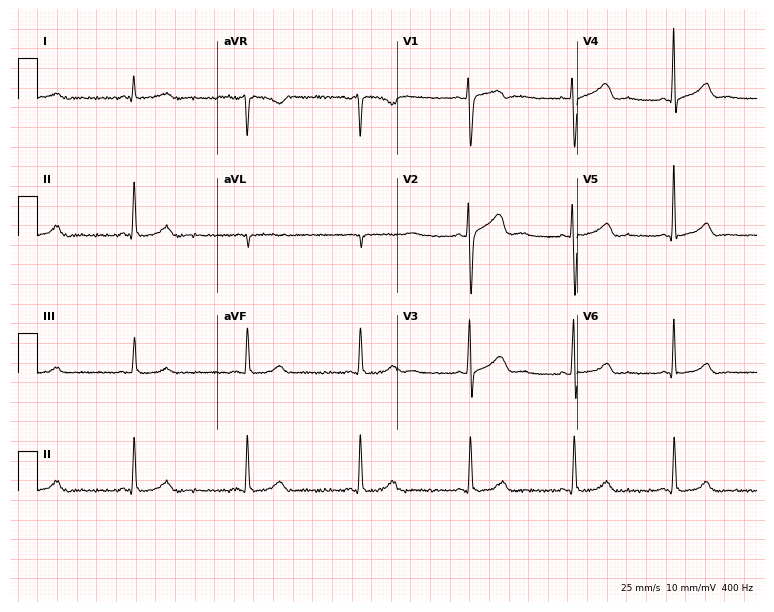
Electrocardiogram (7.3-second recording at 400 Hz), a male patient, 44 years old. Of the six screened findings (first-degree AV block, right bundle branch block, left bundle branch block, sinus bradycardia, atrial fibrillation, sinus tachycardia), none is recorded.